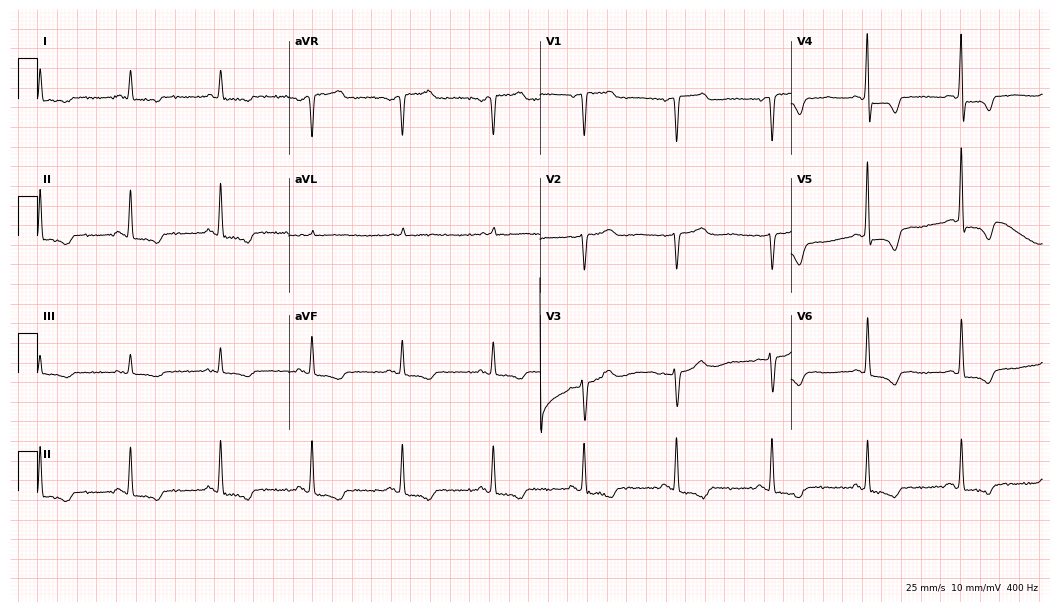
ECG (10.2-second recording at 400 Hz) — a female, 70 years old. Screened for six findings — first-degree AV block, right bundle branch block, left bundle branch block, sinus bradycardia, atrial fibrillation, sinus tachycardia — none is recorded.